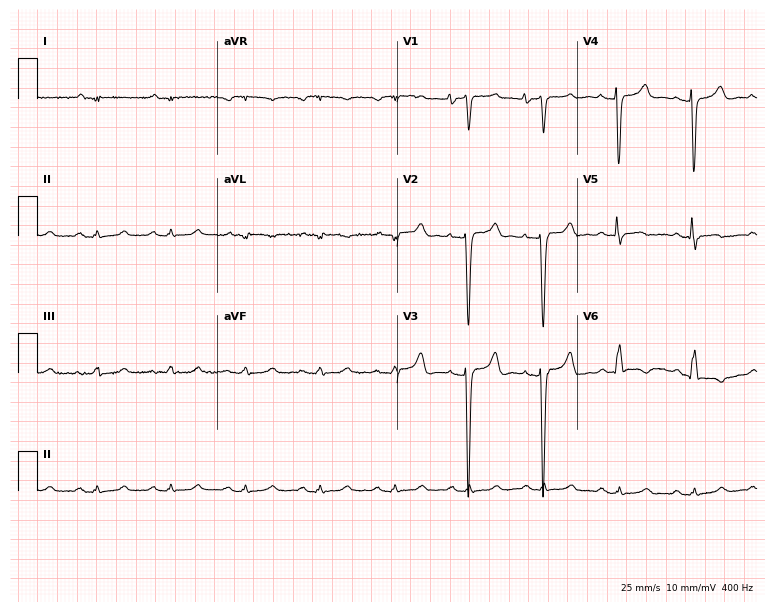
12-lead ECG (7.3-second recording at 400 Hz) from a 53-year-old female. Screened for six findings — first-degree AV block, right bundle branch block, left bundle branch block, sinus bradycardia, atrial fibrillation, sinus tachycardia — none is recorded.